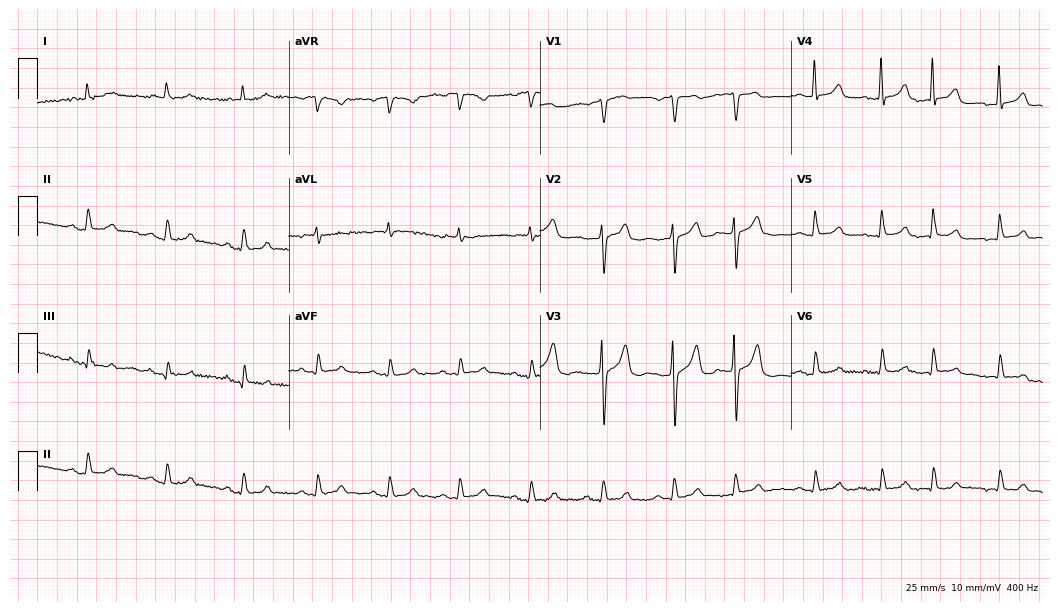
12-lead ECG from a 74-year-old male patient. Recorded interpretation: within normal limits.